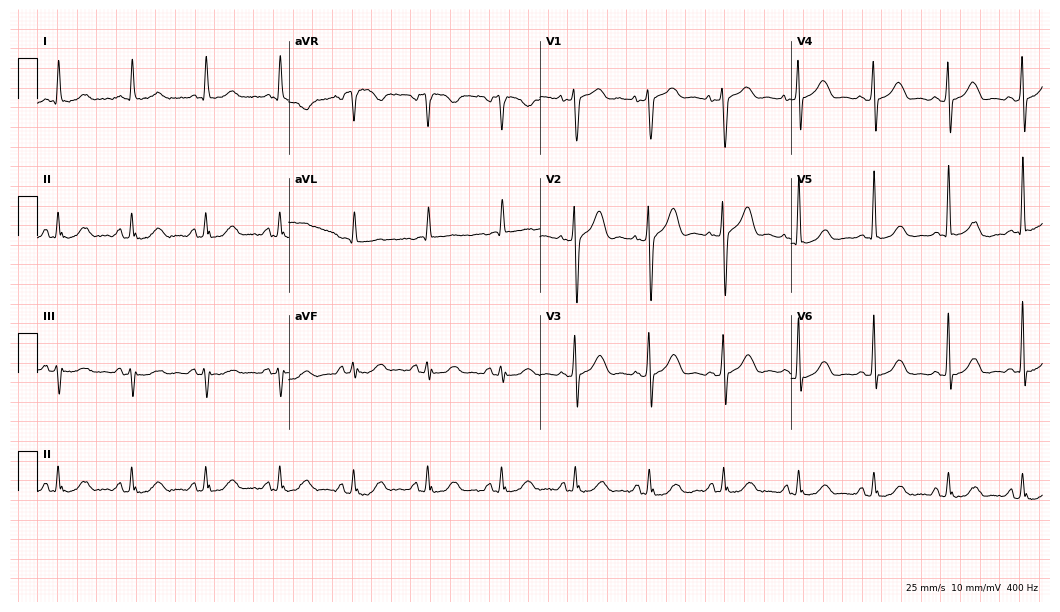
ECG (10.2-second recording at 400 Hz) — an 83-year-old male. Labelled as a normal ECG.